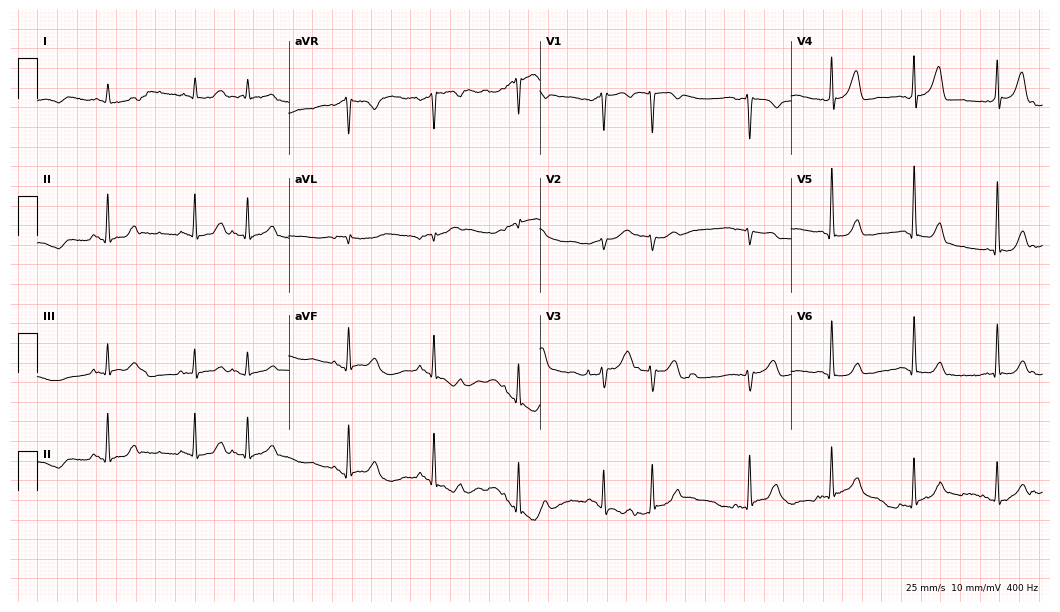
Electrocardiogram (10.2-second recording at 400 Hz), an 80-year-old man. Overall reading on record: normal ECG.